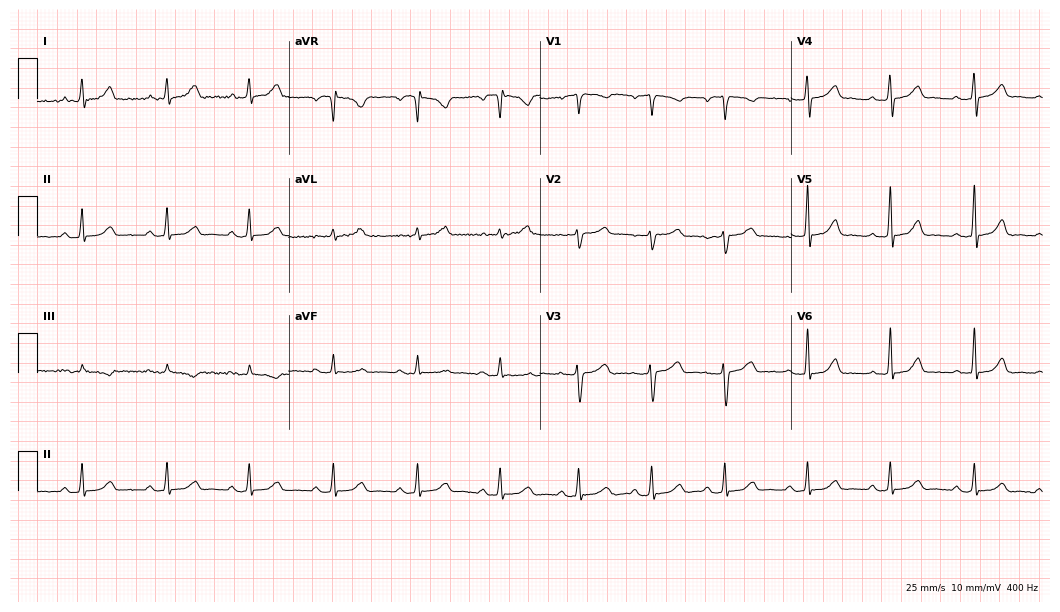
Resting 12-lead electrocardiogram. Patient: a 41-year-old female. Read as a normal ECG.